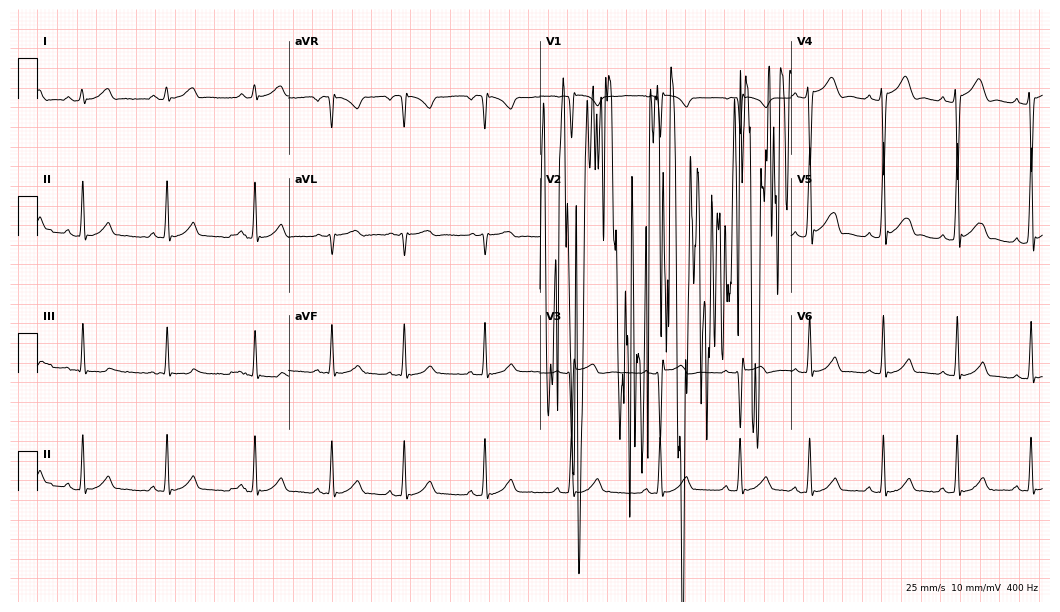
Standard 12-lead ECG recorded from an 18-year-old male (10.2-second recording at 400 Hz). None of these six findings is recorded: first-degree AV block, right bundle branch block (RBBB), left bundle branch block (LBBB), sinus bradycardia, atrial fibrillation (AF), sinus tachycardia.